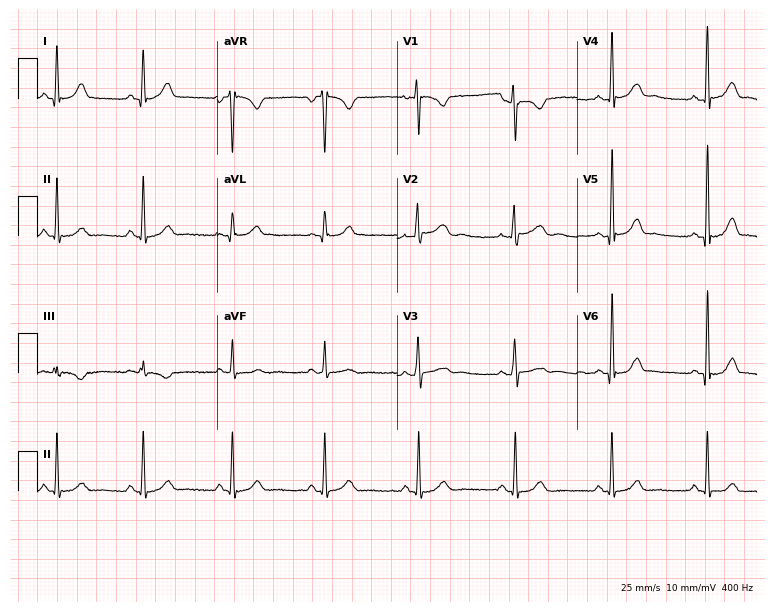
Standard 12-lead ECG recorded from a woman, 30 years old. Read as a normal ECG.